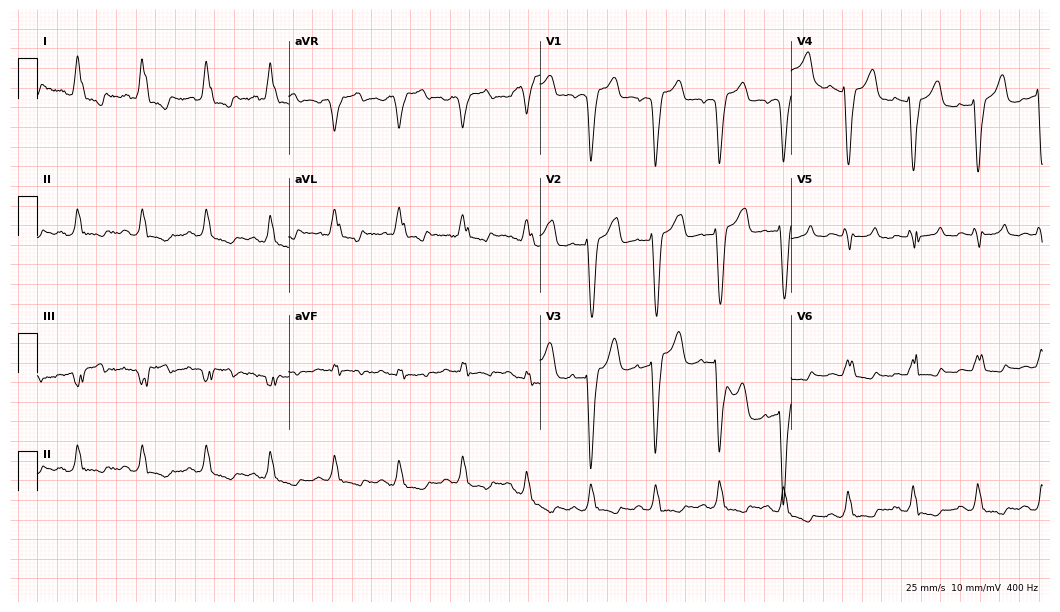
12-lead ECG from a female, 61 years old (10.2-second recording at 400 Hz). Shows left bundle branch block.